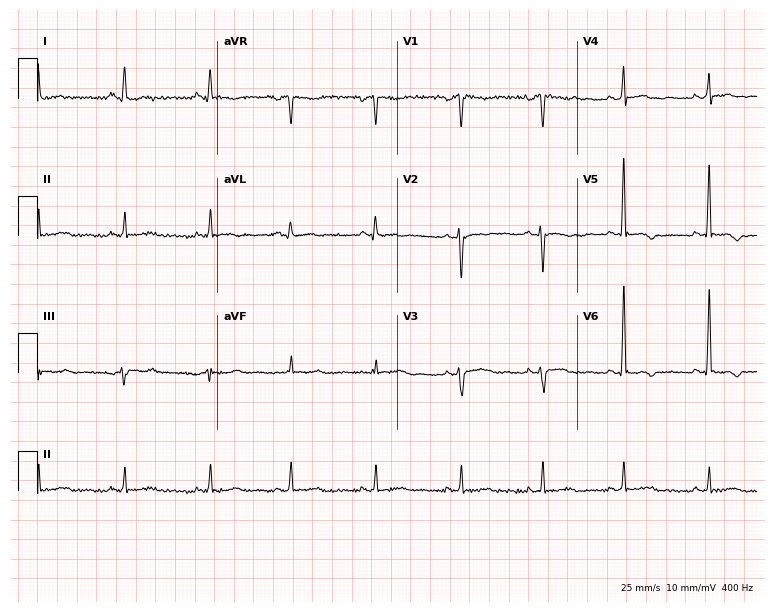
Electrocardiogram (7.3-second recording at 400 Hz), a 30-year-old male. Of the six screened findings (first-degree AV block, right bundle branch block, left bundle branch block, sinus bradycardia, atrial fibrillation, sinus tachycardia), none is recorded.